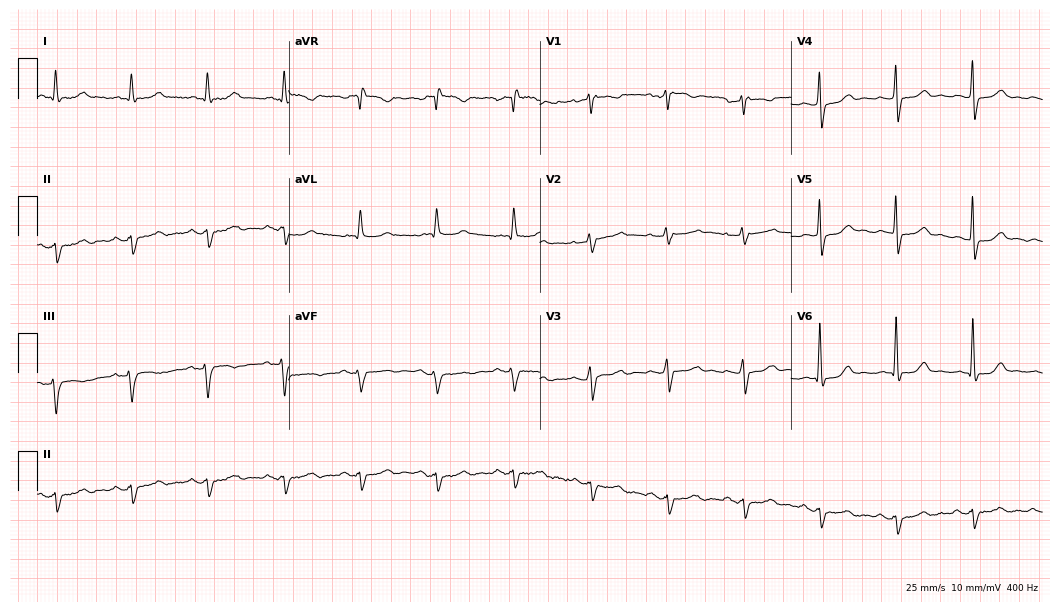
Standard 12-lead ECG recorded from a male, 73 years old. None of these six findings is recorded: first-degree AV block, right bundle branch block, left bundle branch block, sinus bradycardia, atrial fibrillation, sinus tachycardia. Findings outside these six are not listed.